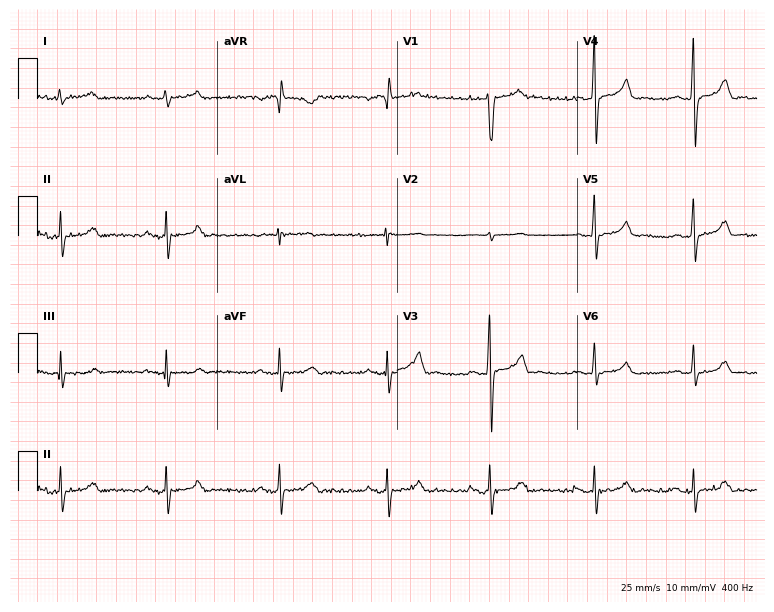
Standard 12-lead ECG recorded from a 33-year-old man (7.3-second recording at 400 Hz). None of these six findings is recorded: first-degree AV block, right bundle branch block, left bundle branch block, sinus bradycardia, atrial fibrillation, sinus tachycardia.